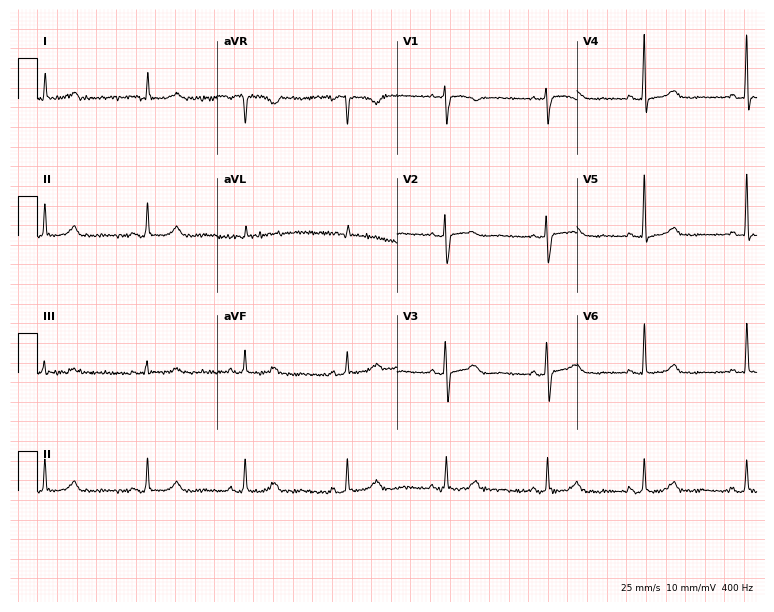
ECG (7.3-second recording at 400 Hz) — a 50-year-old female patient. Labelled as a normal ECG.